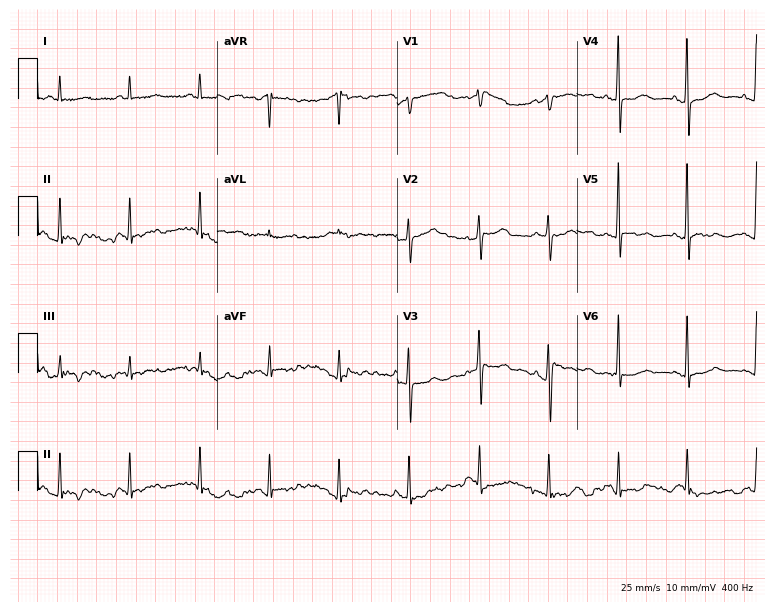
Standard 12-lead ECG recorded from a 78-year-old woman. None of these six findings is recorded: first-degree AV block, right bundle branch block (RBBB), left bundle branch block (LBBB), sinus bradycardia, atrial fibrillation (AF), sinus tachycardia.